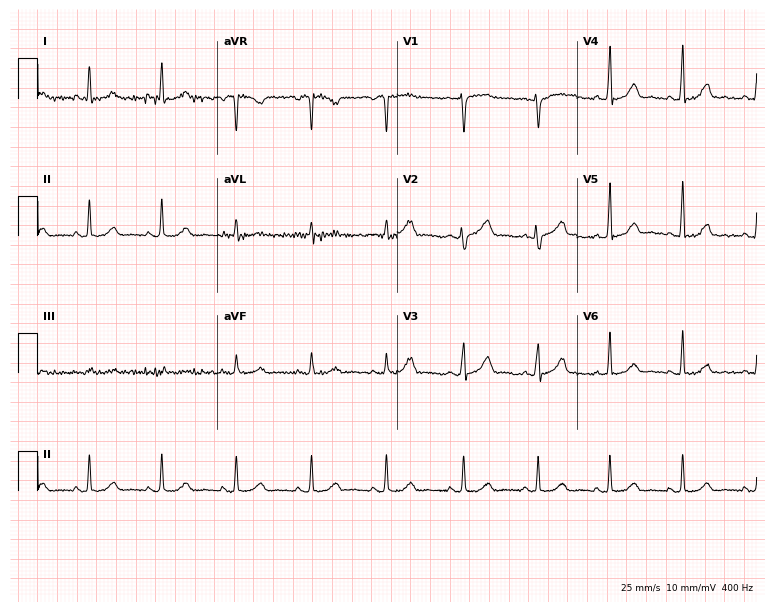
Standard 12-lead ECG recorded from a woman, 28 years old (7.3-second recording at 400 Hz). None of these six findings is recorded: first-degree AV block, right bundle branch block, left bundle branch block, sinus bradycardia, atrial fibrillation, sinus tachycardia. Findings outside these six are not listed.